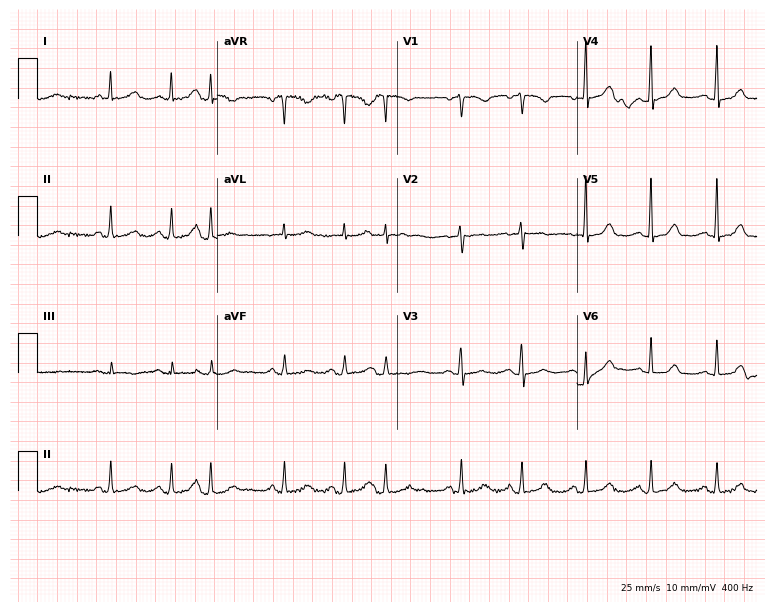
Electrocardiogram (7.3-second recording at 400 Hz), a female, 72 years old. Of the six screened findings (first-degree AV block, right bundle branch block (RBBB), left bundle branch block (LBBB), sinus bradycardia, atrial fibrillation (AF), sinus tachycardia), none is recorded. Findings outside these six are not listed.